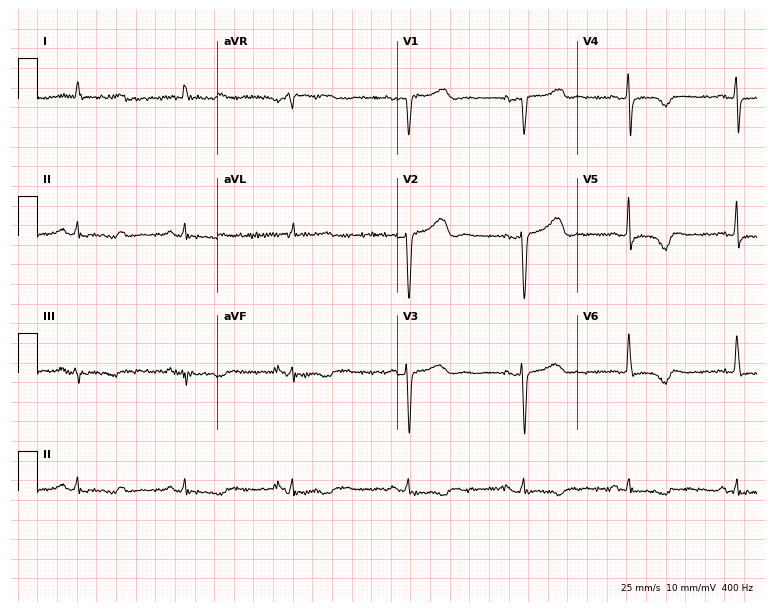
Resting 12-lead electrocardiogram. Patient: a 64-year-old female. None of these six findings is recorded: first-degree AV block, right bundle branch block, left bundle branch block, sinus bradycardia, atrial fibrillation, sinus tachycardia.